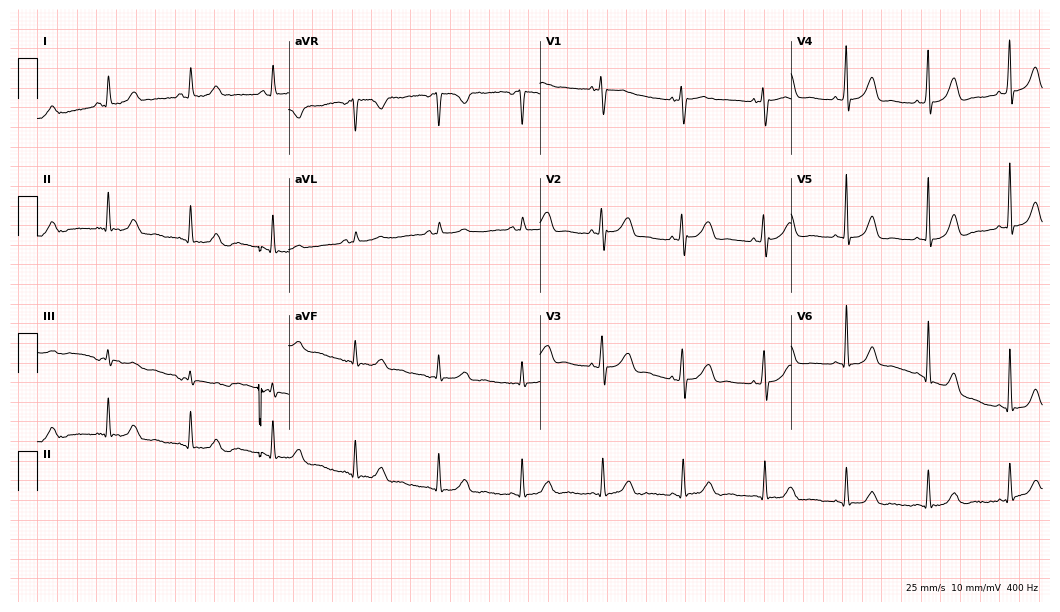
Electrocardiogram (10.2-second recording at 400 Hz), a female patient, 45 years old. Of the six screened findings (first-degree AV block, right bundle branch block (RBBB), left bundle branch block (LBBB), sinus bradycardia, atrial fibrillation (AF), sinus tachycardia), none is recorded.